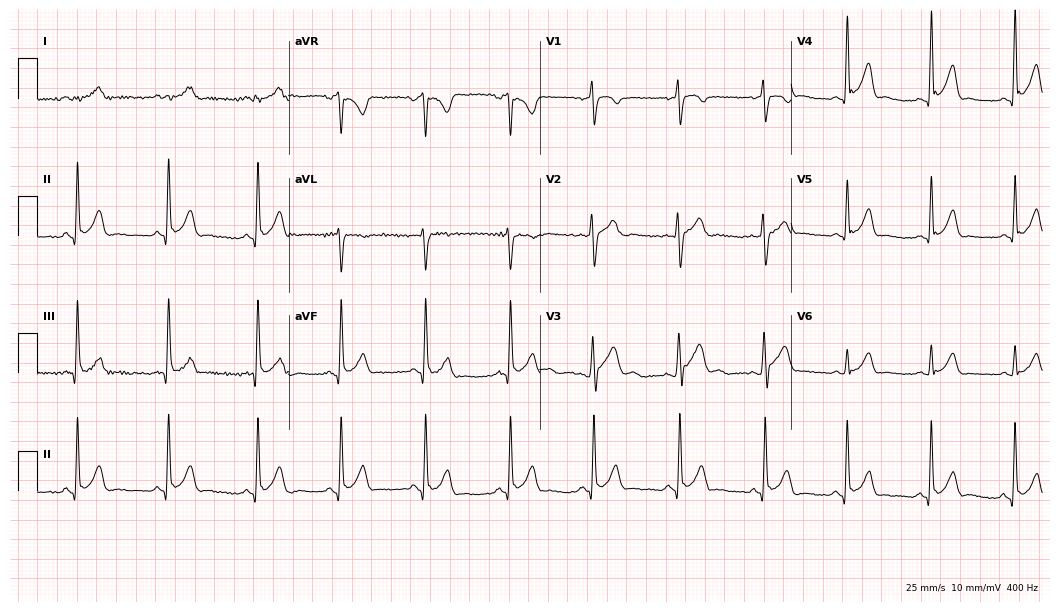
12-lead ECG (10.2-second recording at 400 Hz) from a 22-year-old man. Screened for six findings — first-degree AV block, right bundle branch block, left bundle branch block, sinus bradycardia, atrial fibrillation, sinus tachycardia — none is recorded.